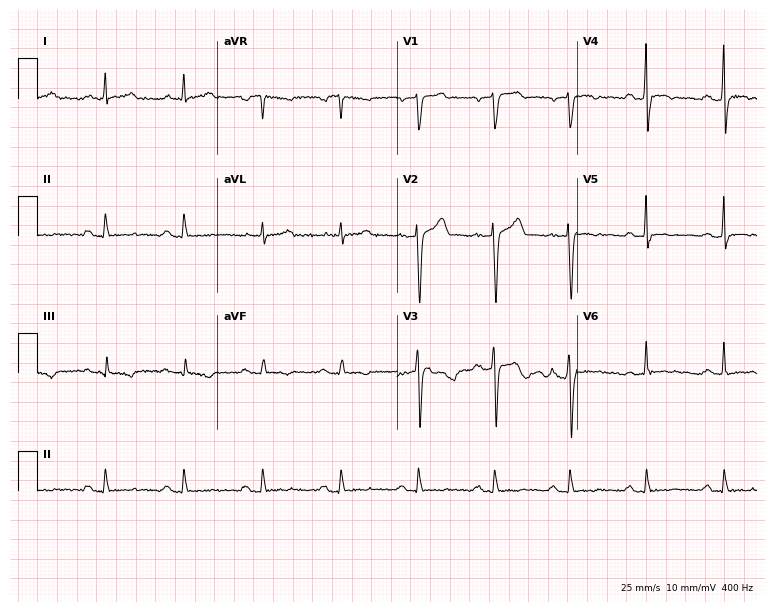
Electrocardiogram, a male patient, 40 years old. Of the six screened findings (first-degree AV block, right bundle branch block, left bundle branch block, sinus bradycardia, atrial fibrillation, sinus tachycardia), none is recorded. Other findings, if any, are not listed.